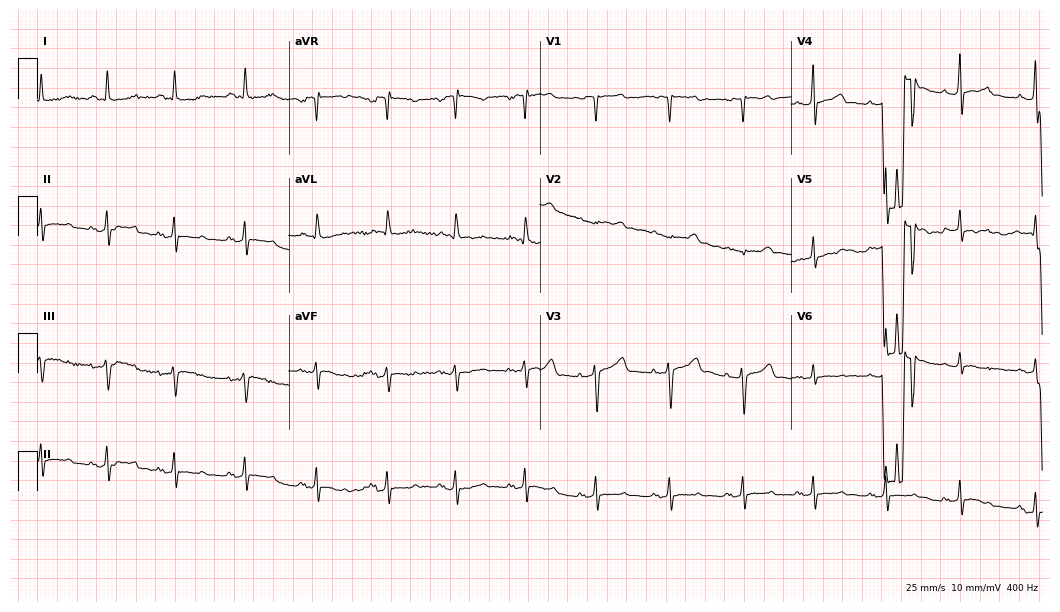
Electrocardiogram, a woman, 56 years old. Of the six screened findings (first-degree AV block, right bundle branch block, left bundle branch block, sinus bradycardia, atrial fibrillation, sinus tachycardia), none is recorded. Only these six findings were labelled.